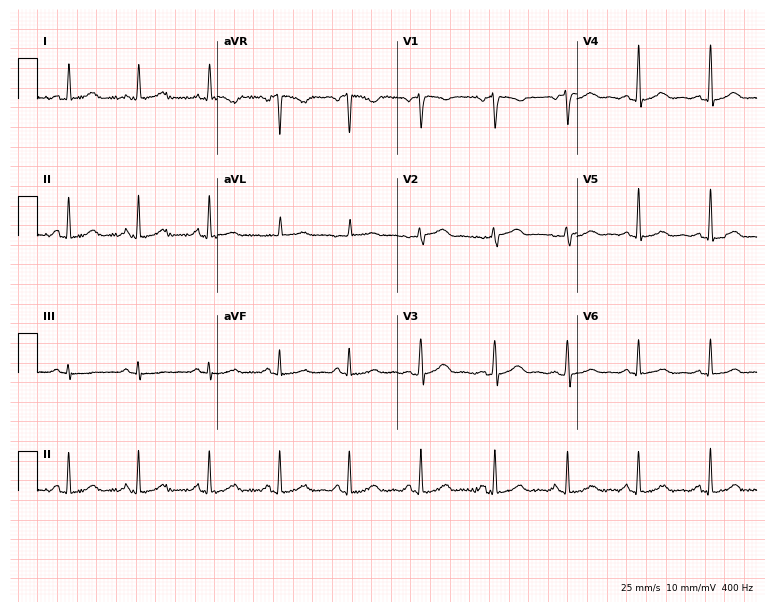
12-lead ECG from a 54-year-old woman. Labelled as a normal ECG.